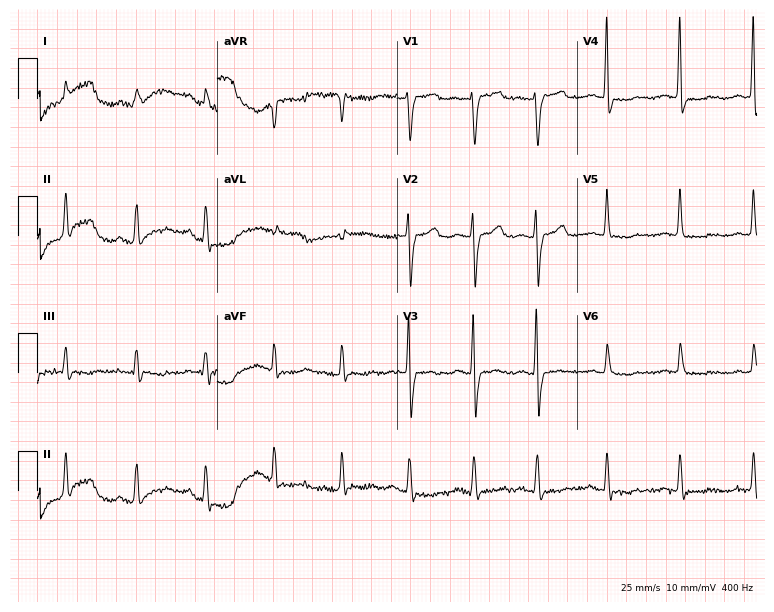
Electrocardiogram, a female patient, 71 years old. Of the six screened findings (first-degree AV block, right bundle branch block (RBBB), left bundle branch block (LBBB), sinus bradycardia, atrial fibrillation (AF), sinus tachycardia), none is recorded.